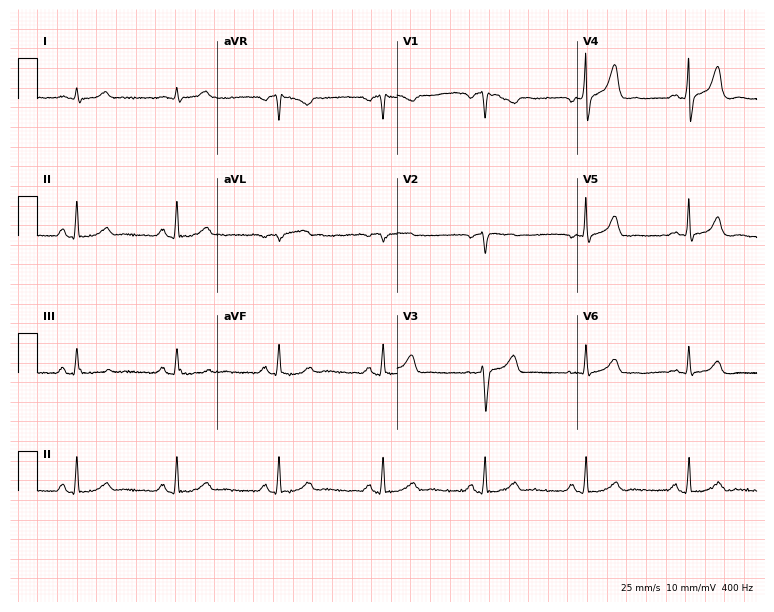
ECG — a 68-year-old male. Labelled as a normal ECG.